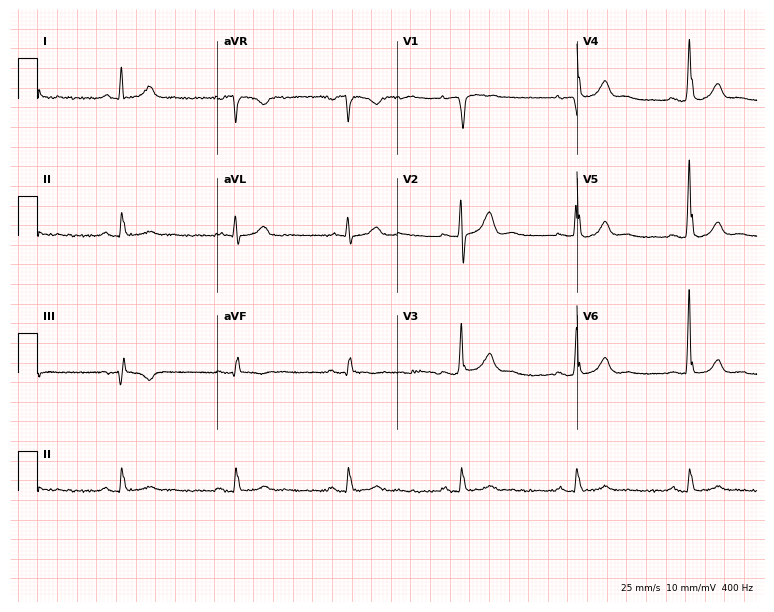
Standard 12-lead ECG recorded from a man, 70 years old. None of these six findings is recorded: first-degree AV block, right bundle branch block (RBBB), left bundle branch block (LBBB), sinus bradycardia, atrial fibrillation (AF), sinus tachycardia. Findings outside these six are not listed.